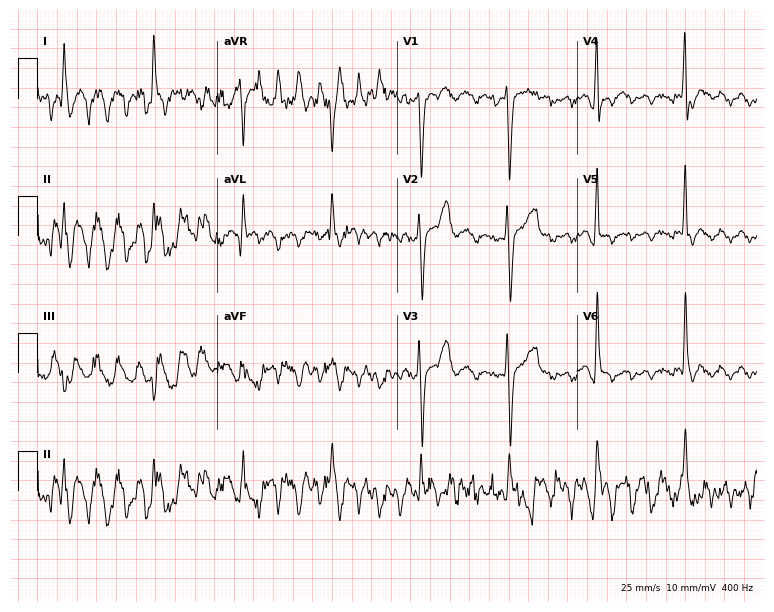
12-lead ECG from a male, 67 years old. Screened for six findings — first-degree AV block, right bundle branch block, left bundle branch block, sinus bradycardia, atrial fibrillation, sinus tachycardia — none is recorded.